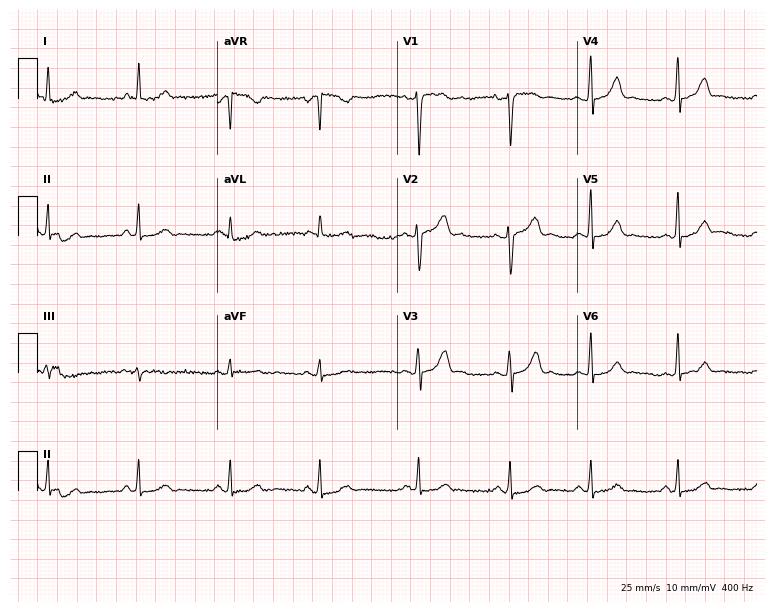
Electrocardiogram (7.3-second recording at 400 Hz), a male patient, 38 years old. Overall reading on record: normal ECG.